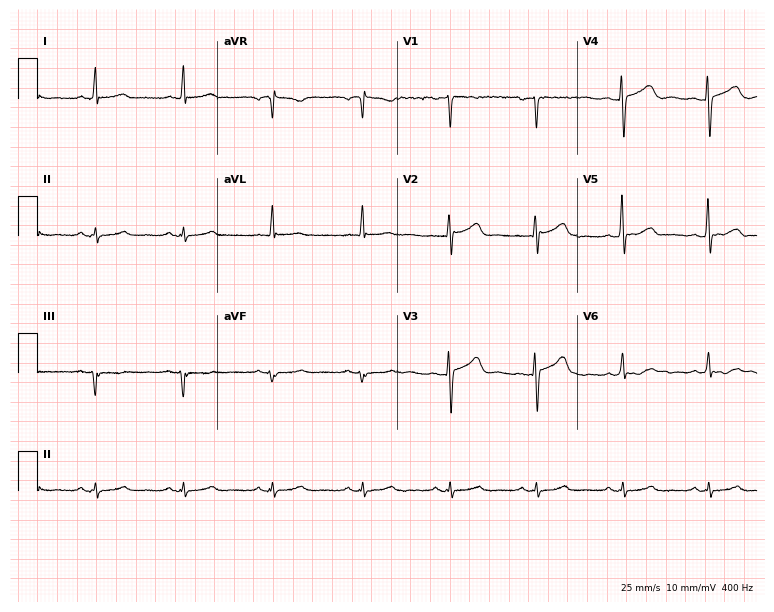
Standard 12-lead ECG recorded from a 67-year-old male. None of these six findings is recorded: first-degree AV block, right bundle branch block (RBBB), left bundle branch block (LBBB), sinus bradycardia, atrial fibrillation (AF), sinus tachycardia. Findings outside these six are not listed.